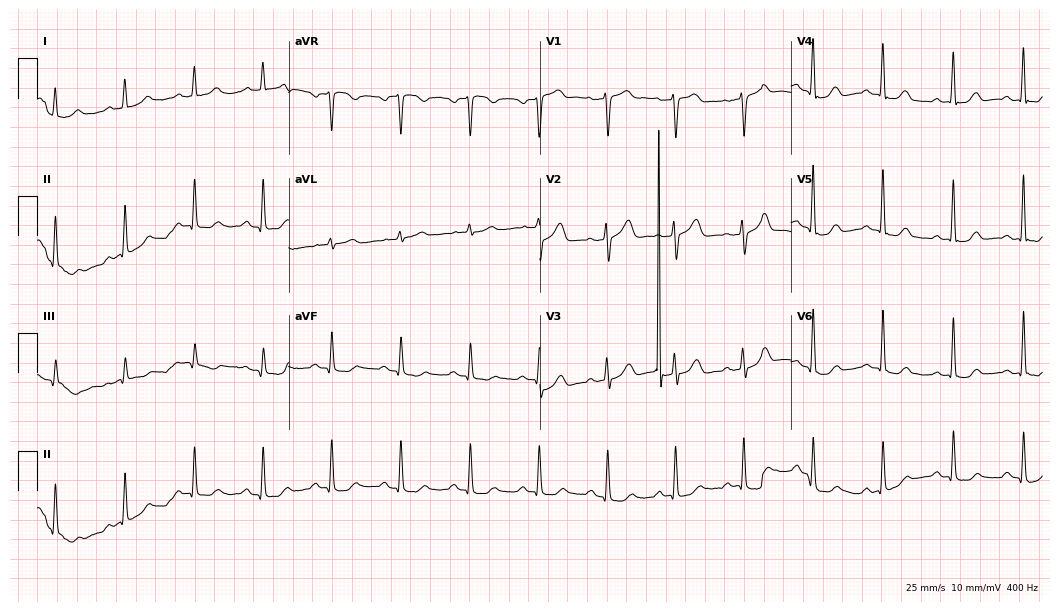
Electrocardiogram (10.2-second recording at 400 Hz), a 70-year-old male. Of the six screened findings (first-degree AV block, right bundle branch block, left bundle branch block, sinus bradycardia, atrial fibrillation, sinus tachycardia), none is recorded.